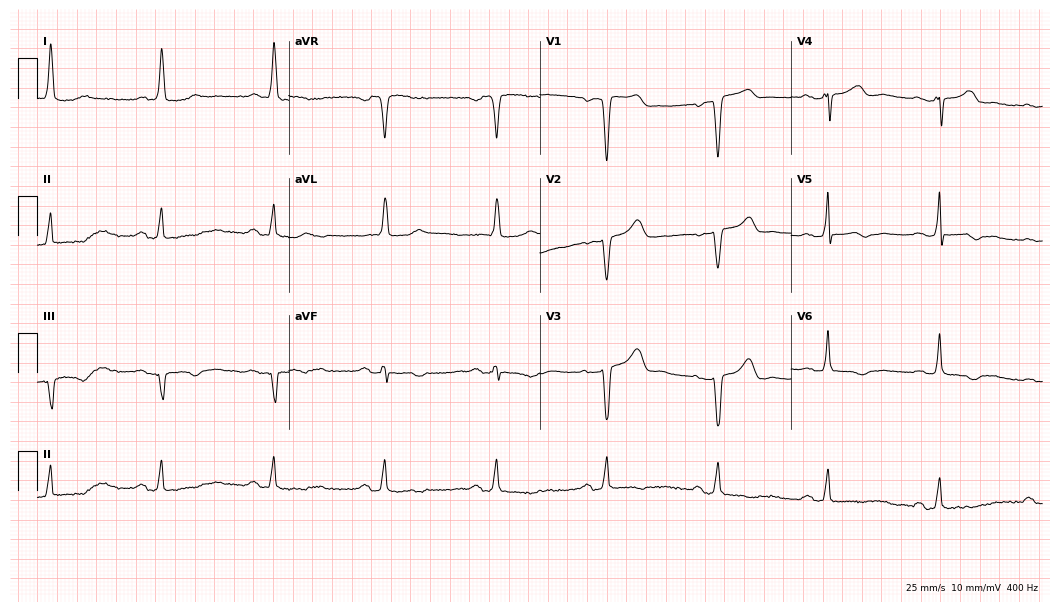
12-lead ECG from a 74-year-old female patient (10.2-second recording at 400 Hz). Recorded interpretation: within normal limits.